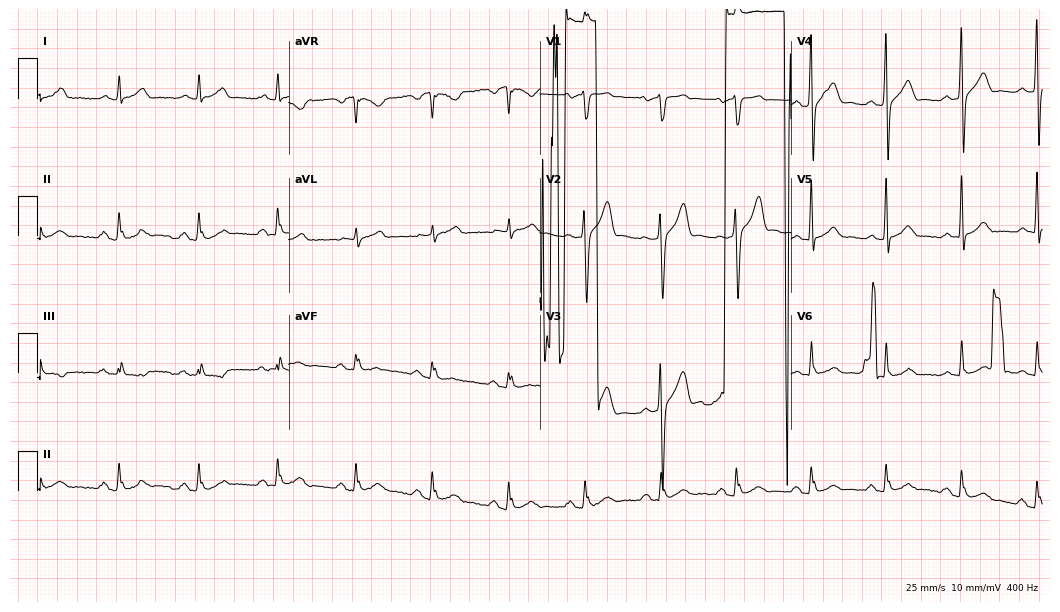
12-lead ECG from a male, 57 years old (10.2-second recording at 400 Hz). No first-degree AV block, right bundle branch block, left bundle branch block, sinus bradycardia, atrial fibrillation or sinus tachycardia recorded for this tracing. Only these six findings were labelled.